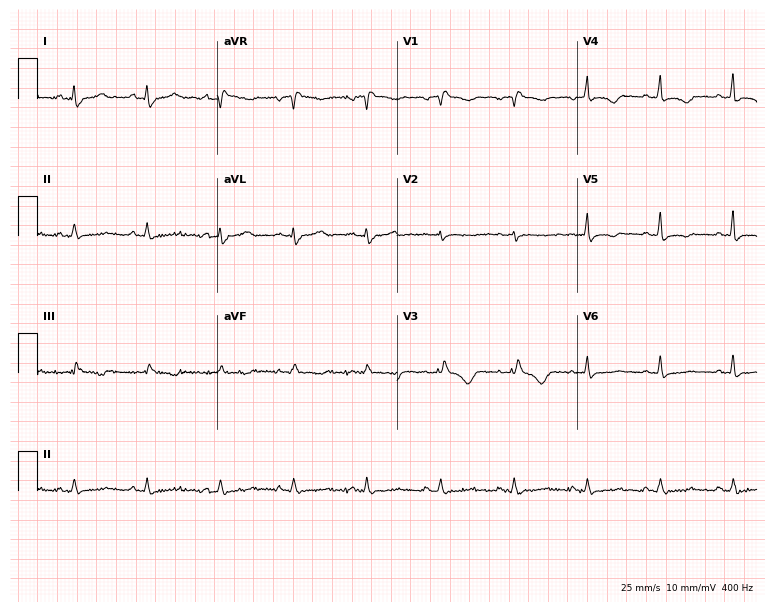
12-lead ECG from a 73-year-old female. Findings include right bundle branch block (RBBB).